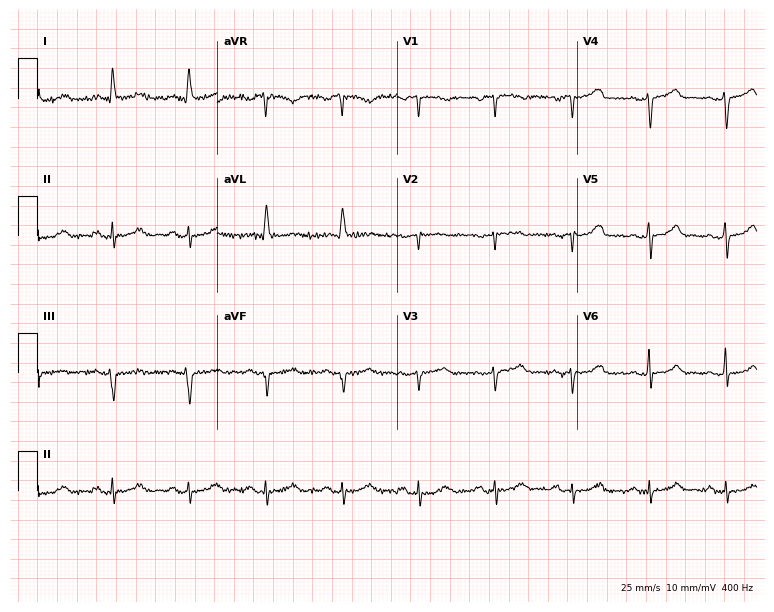
12-lead ECG from a 69-year-old female. Labelled as a normal ECG.